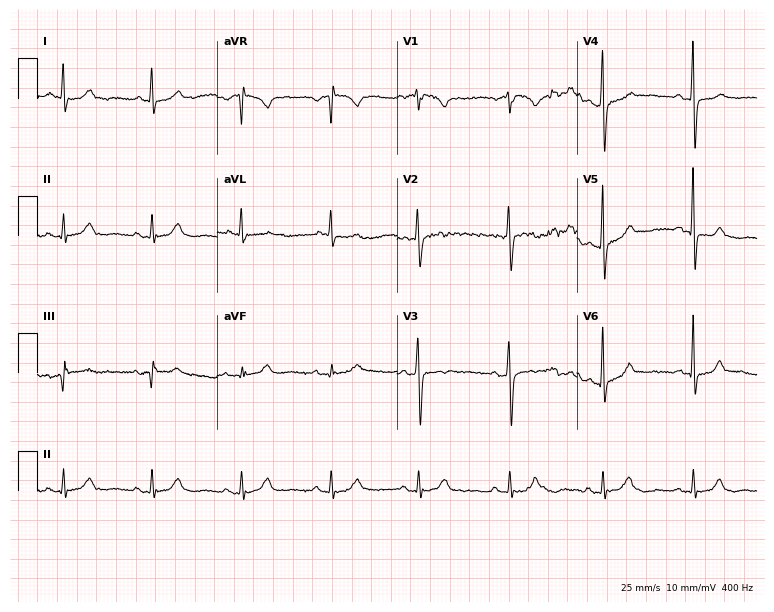
Resting 12-lead electrocardiogram. Patient: a male, 52 years old. Read as a normal ECG.